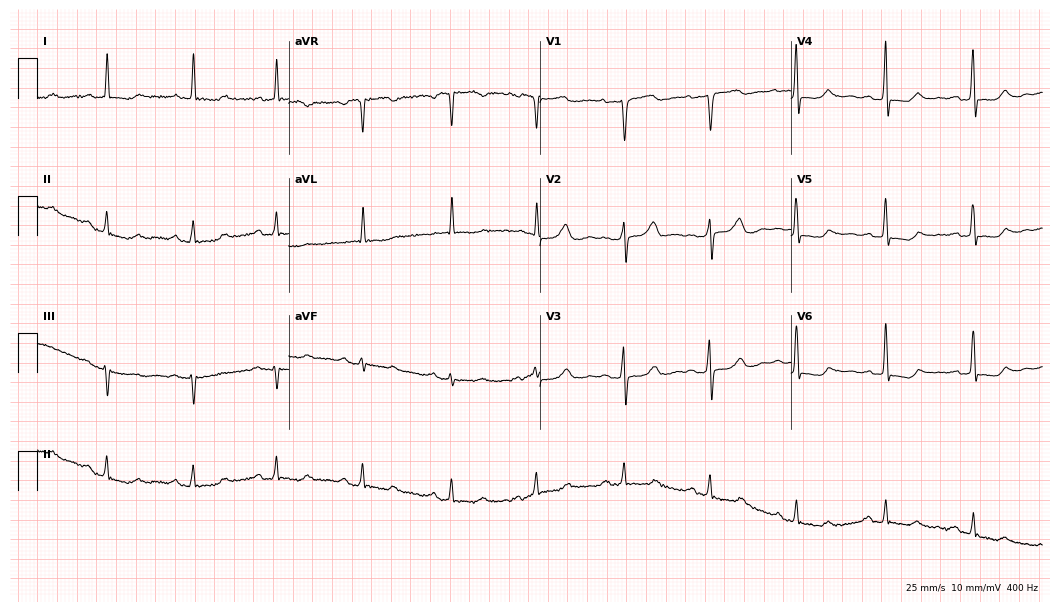
Standard 12-lead ECG recorded from a woman, 66 years old. None of these six findings is recorded: first-degree AV block, right bundle branch block, left bundle branch block, sinus bradycardia, atrial fibrillation, sinus tachycardia. Other findings, if any, are not listed.